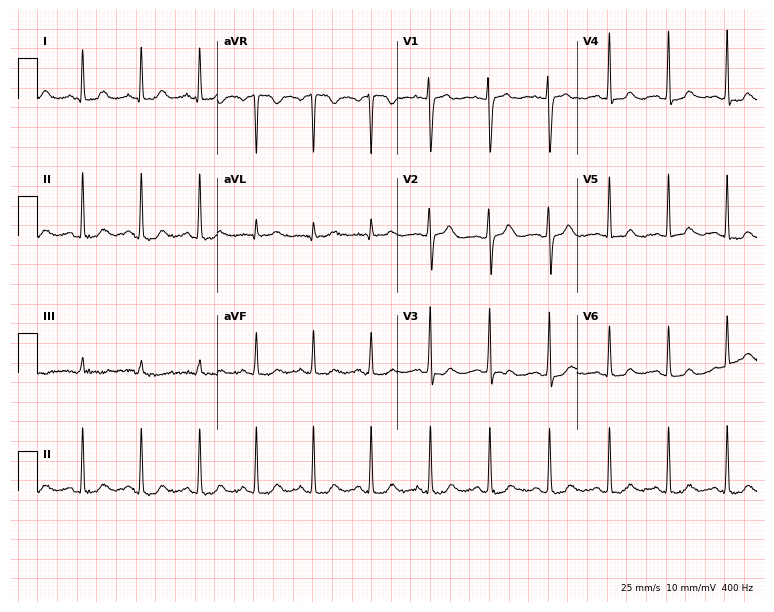
Electrocardiogram (7.3-second recording at 400 Hz), a woman, 41 years old. Of the six screened findings (first-degree AV block, right bundle branch block, left bundle branch block, sinus bradycardia, atrial fibrillation, sinus tachycardia), none is recorded. Other findings, if any, are not listed.